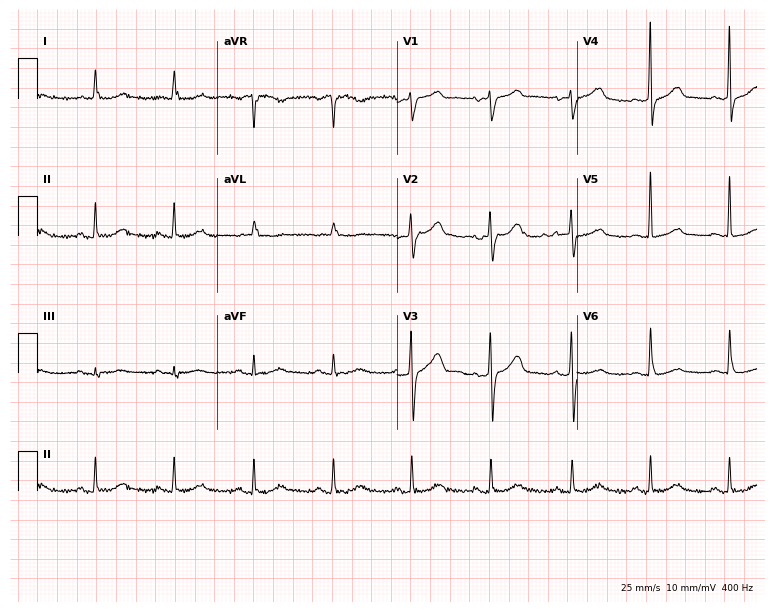
ECG (7.3-second recording at 400 Hz) — a female, 81 years old. Screened for six findings — first-degree AV block, right bundle branch block, left bundle branch block, sinus bradycardia, atrial fibrillation, sinus tachycardia — none is recorded.